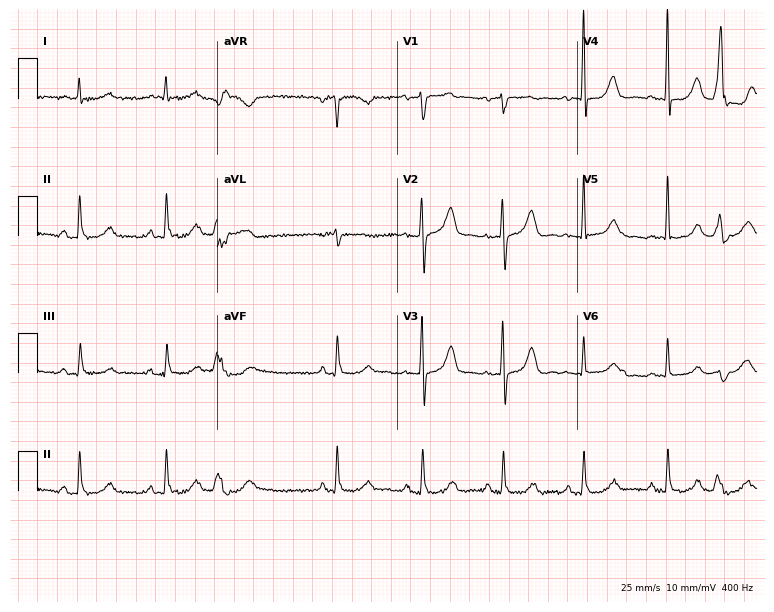
12-lead ECG from a 76-year-old female. Screened for six findings — first-degree AV block, right bundle branch block, left bundle branch block, sinus bradycardia, atrial fibrillation, sinus tachycardia — none is recorded.